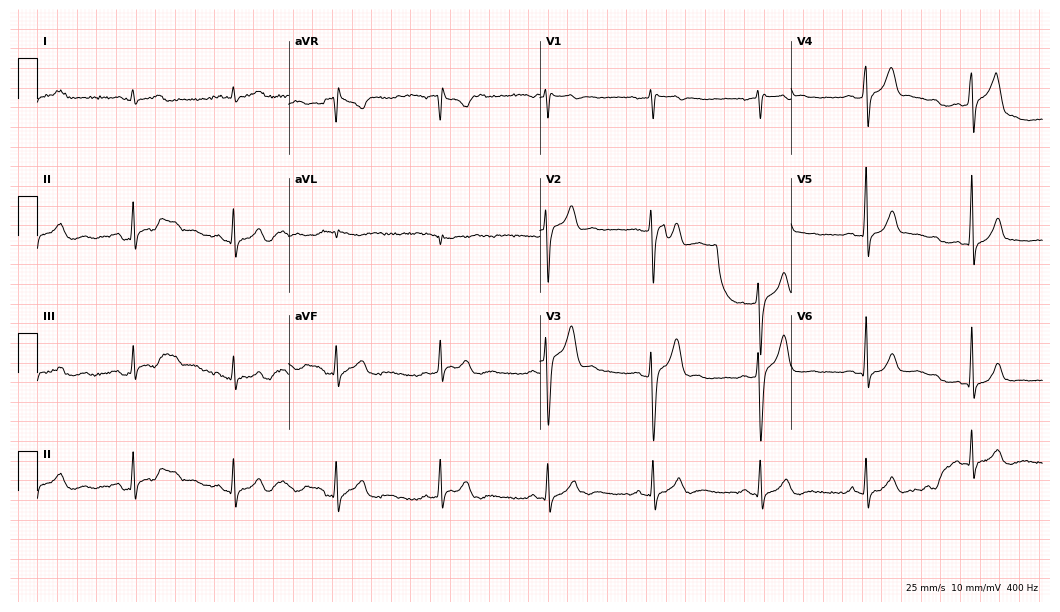
12-lead ECG from a man, 38 years old. Labelled as a normal ECG.